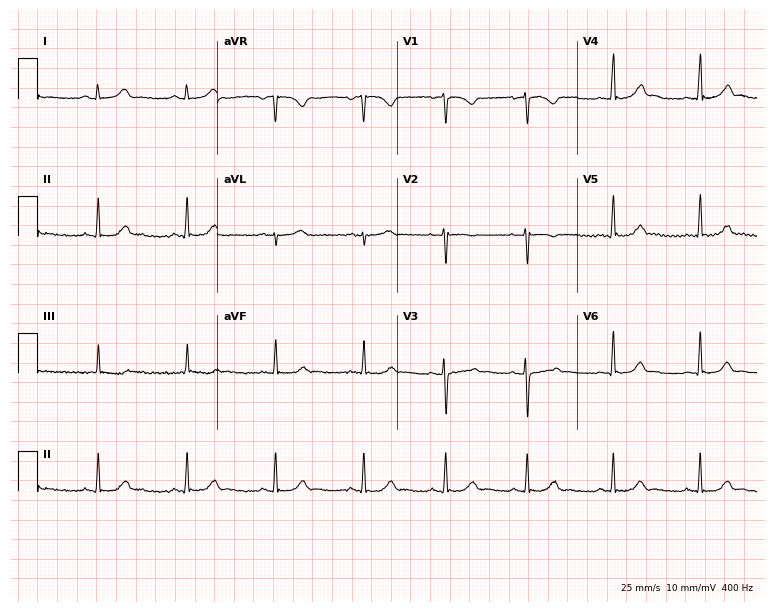
ECG (7.3-second recording at 400 Hz) — a 29-year-old woman. Labelled as a normal ECG.